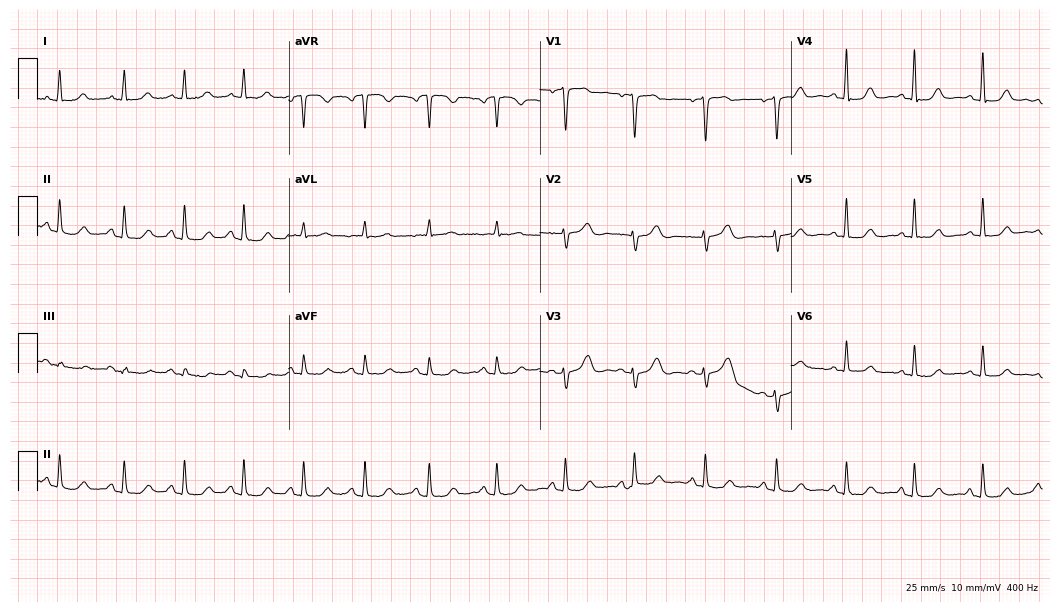
Electrocardiogram, a 55-year-old woman. Of the six screened findings (first-degree AV block, right bundle branch block (RBBB), left bundle branch block (LBBB), sinus bradycardia, atrial fibrillation (AF), sinus tachycardia), none is recorded. Findings outside these six are not listed.